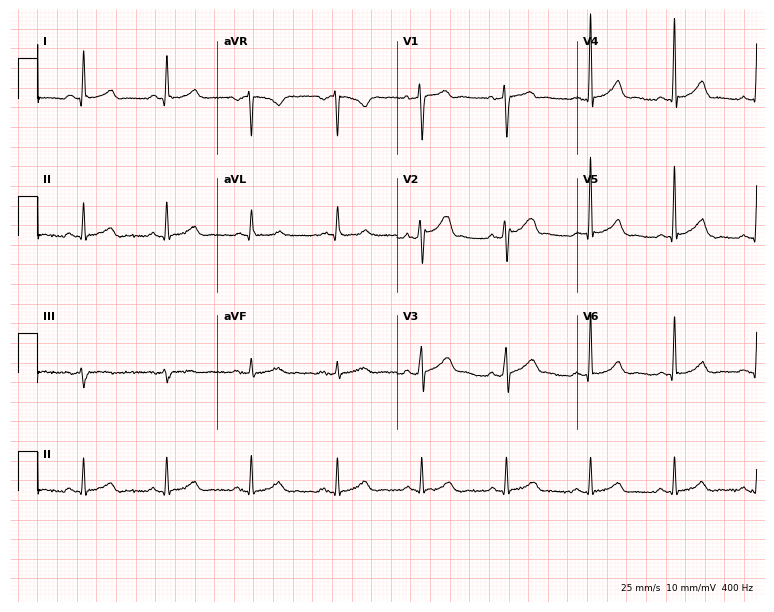
Standard 12-lead ECG recorded from a 53-year-old male patient. None of these six findings is recorded: first-degree AV block, right bundle branch block, left bundle branch block, sinus bradycardia, atrial fibrillation, sinus tachycardia.